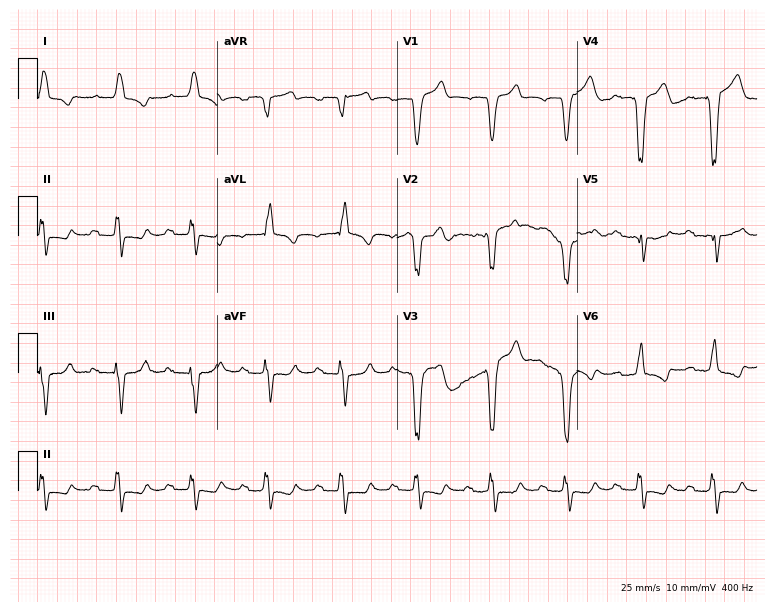
12-lead ECG from an 84-year-old man. No first-degree AV block, right bundle branch block (RBBB), left bundle branch block (LBBB), sinus bradycardia, atrial fibrillation (AF) or sinus tachycardia recorded for this tracing.